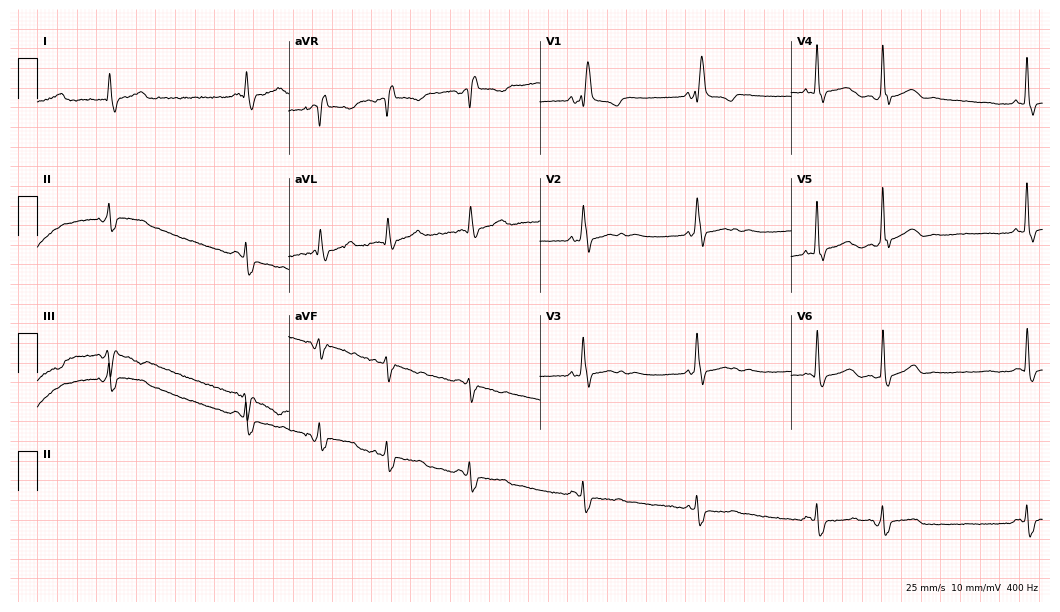
12-lead ECG (10.2-second recording at 400 Hz) from a 72-year-old male patient. Findings include right bundle branch block.